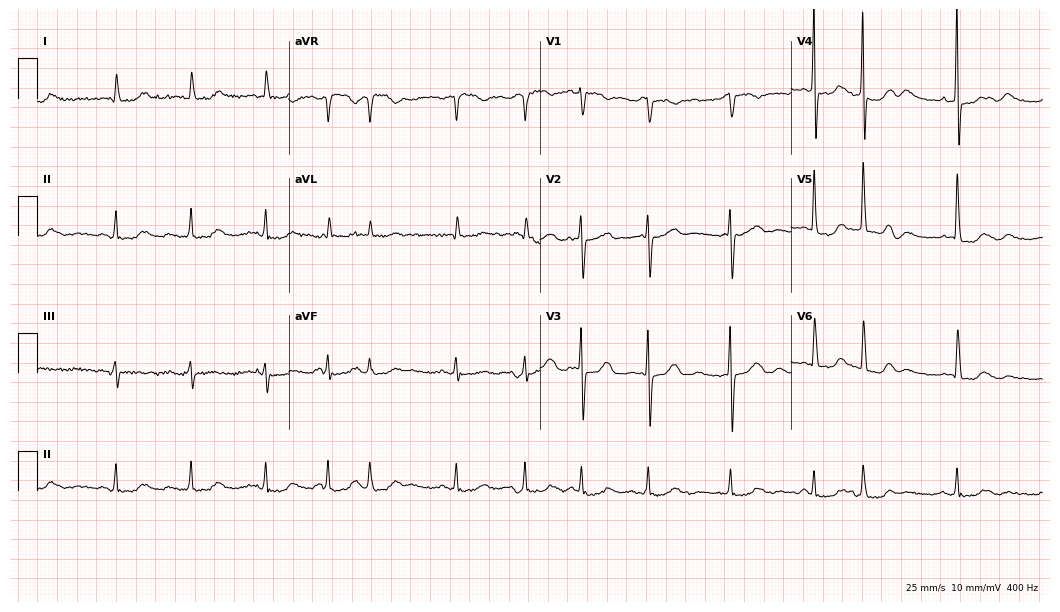
ECG (10.2-second recording at 400 Hz) — an 80-year-old woman. Screened for six findings — first-degree AV block, right bundle branch block, left bundle branch block, sinus bradycardia, atrial fibrillation, sinus tachycardia — none is recorded.